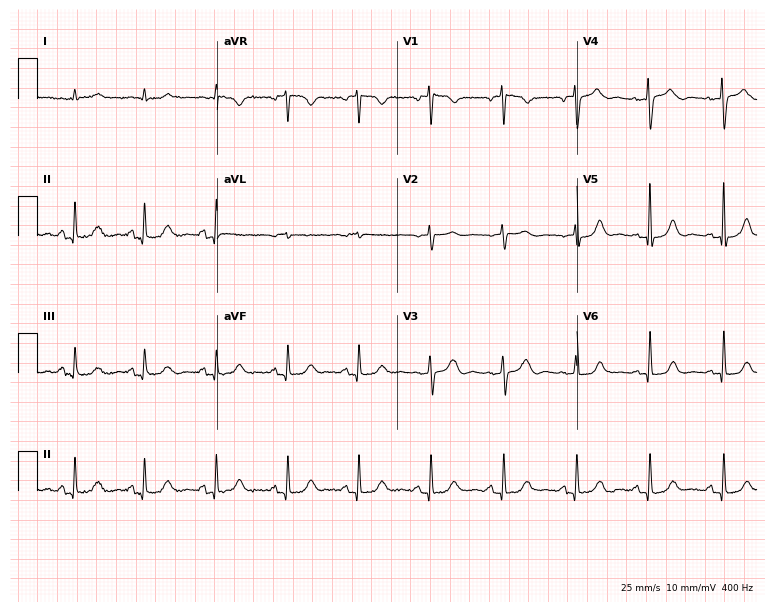
Resting 12-lead electrocardiogram. Patient: a 64-year-old woman. Read as a normal ECG.